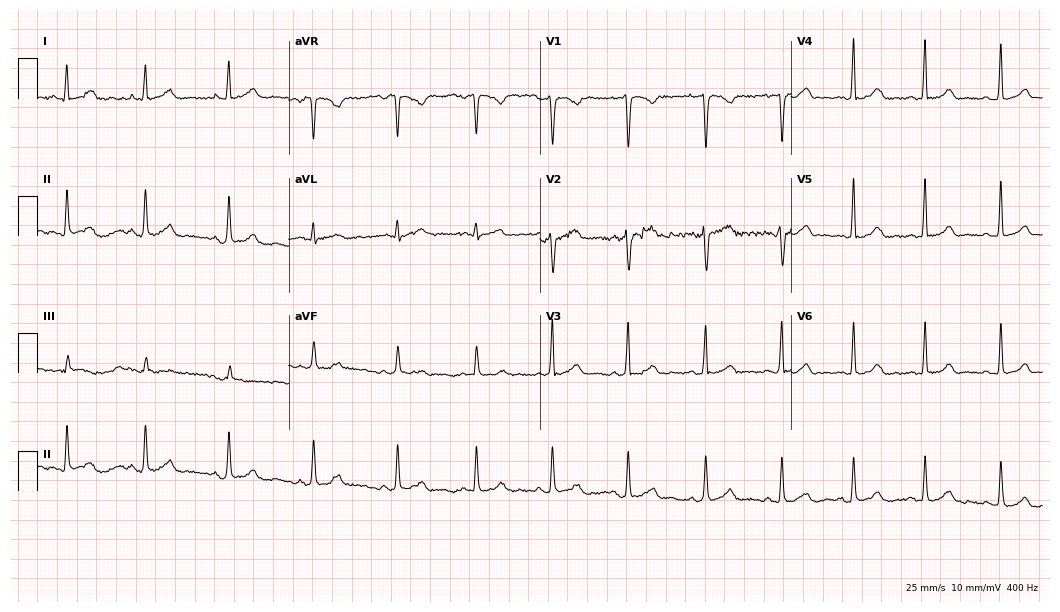
12-lead ECG (10.2-second recording at 400 Hz) from a 22-year-old female patient. Labelled as a normal ECG.